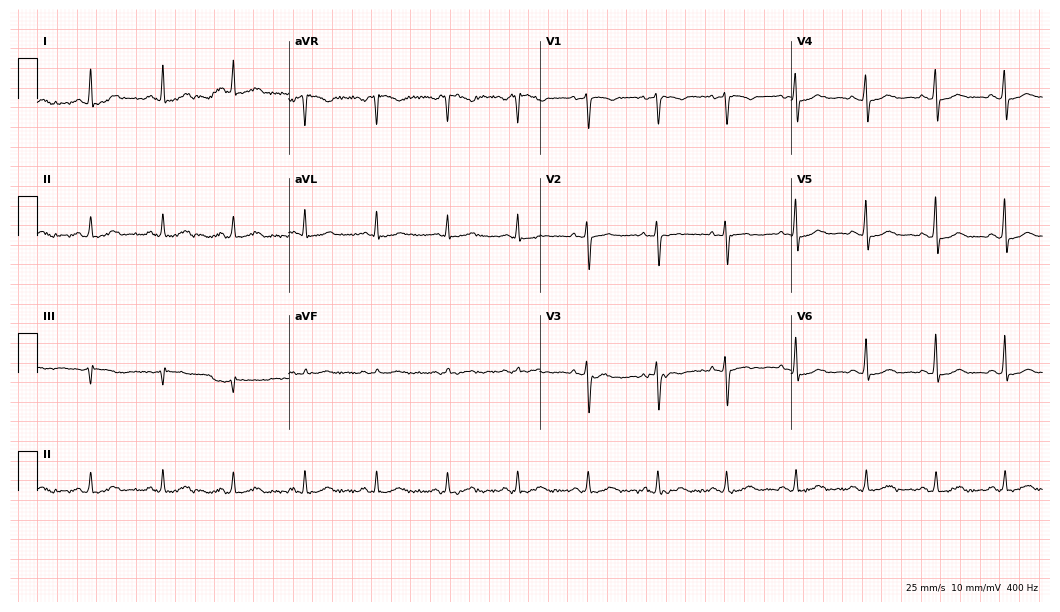
Standard 12-lead ECG recorded from a 45-year-old woman. Read as a normal ECG.